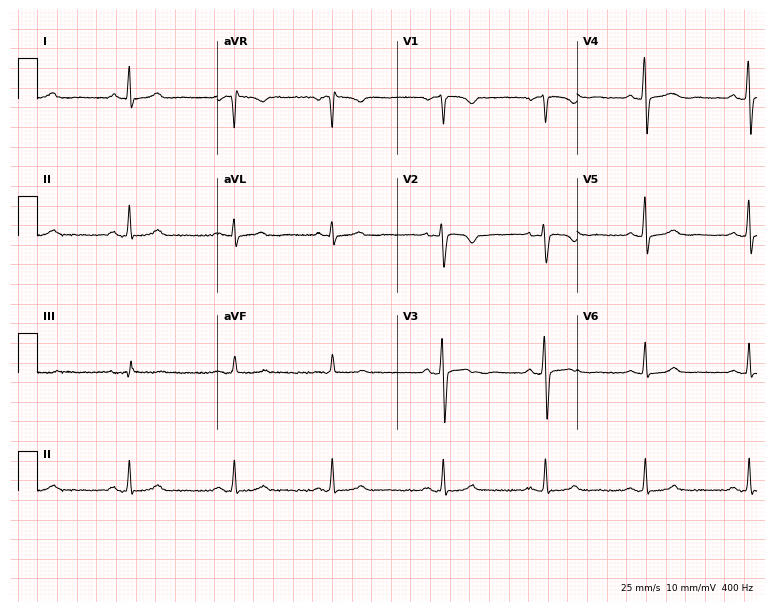
12-lead ECG from a 55-year-old female patient (7.3-second recording at 400 Hz). No first-degree AV block, right bundle branch block, left bundle branch block, sinus bradycardia, atrial fibrillation or sinus tachycardia recorded for this tracing. Findings outside these six are not listed.